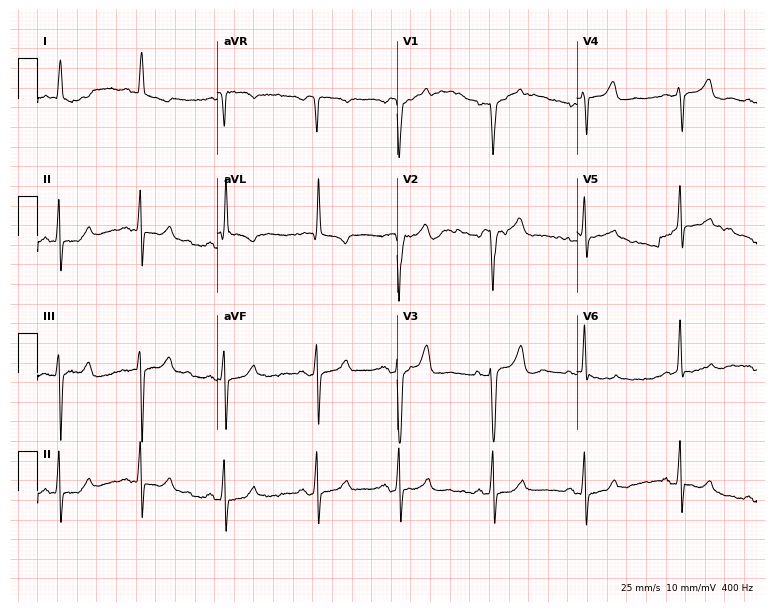
Standard 12-lead ECG recorded from a 70-year-old female patient. None of these six findings is recorded: first-degree AV block, right bundle branch block (RBBB), left bundle branch block (LBBB), sinus bradycardia, atrial fibrillation (AF), sinus tachycardia. Other findings, if any, are not listed.